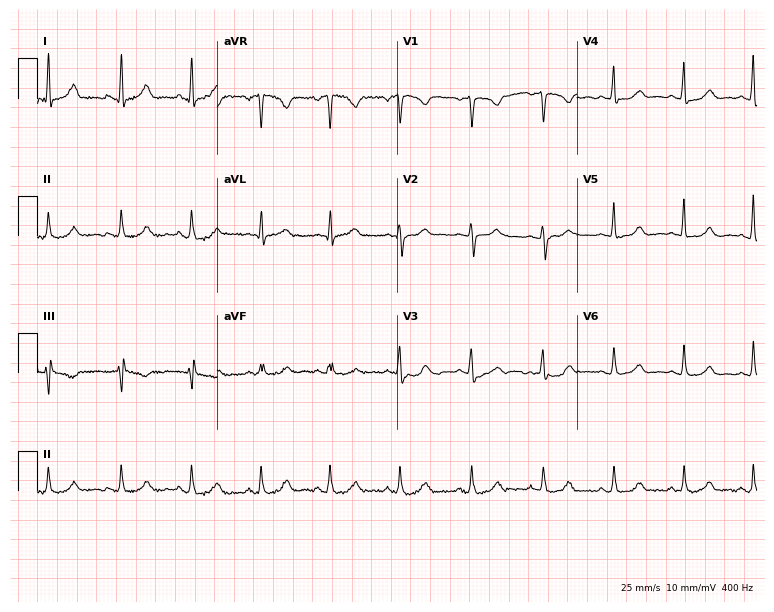
Resting 12-lead electrocardiogram. Patient: a 50-year-old woman. Read as a normal ECG.